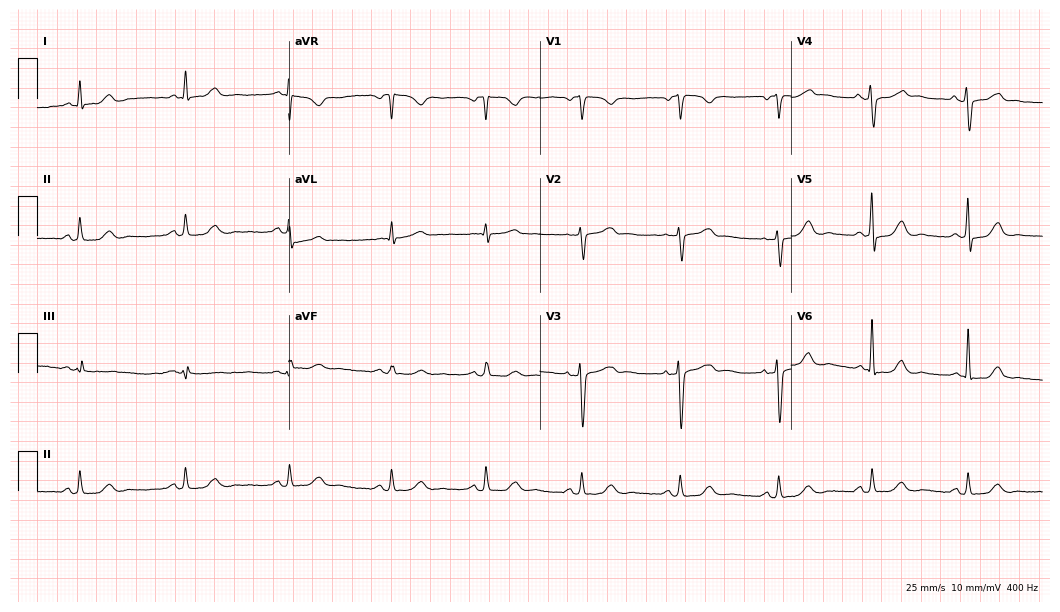
Electrocardiogram, a 55-year-old woman. Overall reading on record: normal ECG.